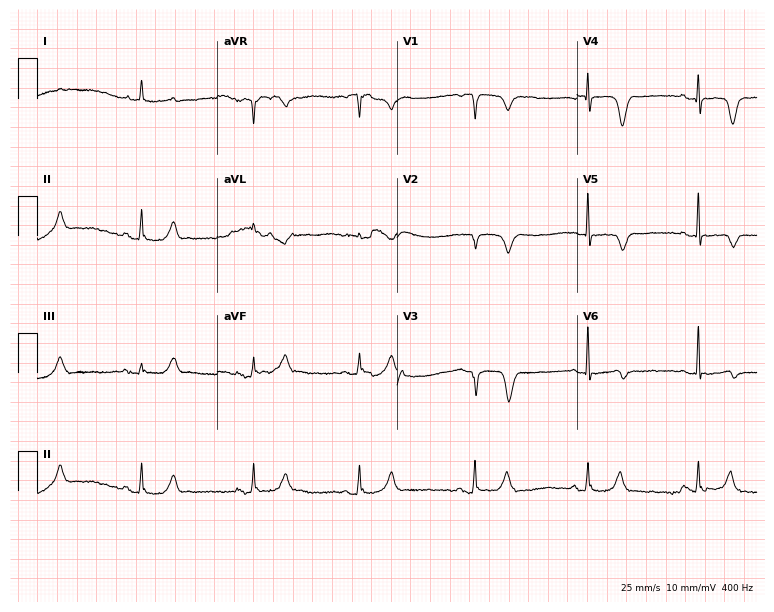
ECG — a man, 85 years old. Screened for six findings — first-degree AV block, right bundle branch block, left bundle branch block, sinus bradycardia, atrial fibrillation, sinus tachycardia — none is recorded. Only these six findings were labelled.